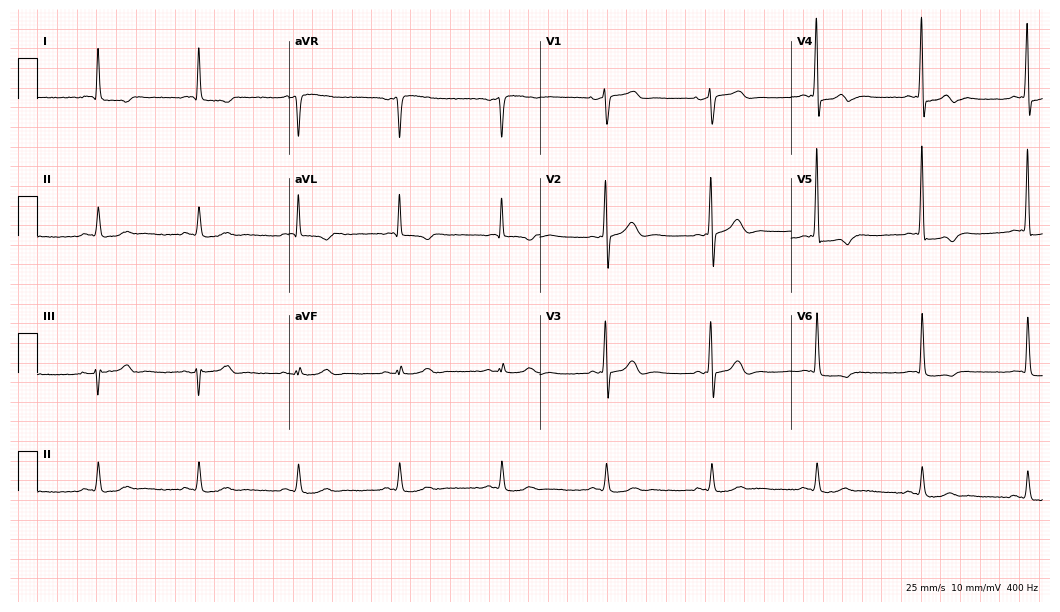
12-lead ECG (10.2-second recording at 400 Hz) from an 80-year-old male patient. Screened for six findings — first-degree AV block, right bundle branch block (RBBB), left bundle branch block (LBBB), sinus bradycardia, atrial fibrillation (AF), sinus tachycardia — none is recorded.